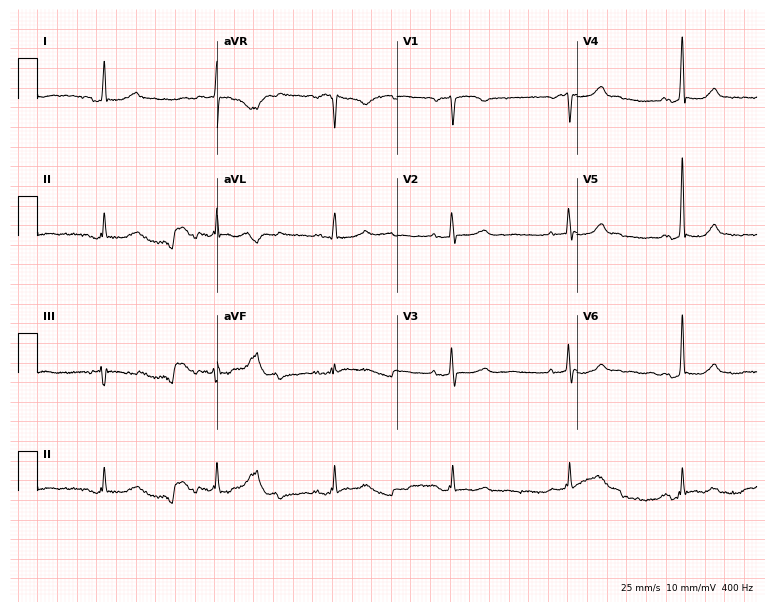
Electrocardiogram, a 69-year-old female. Of the six screened findings (first-degree AV block, right bundle branch block (RBBB), left bundle branch block (LBBB), sinus bradycardia, atrial fibrillation (AF), sinus tachycardia), none is recorded. Only these six findings were labelled.